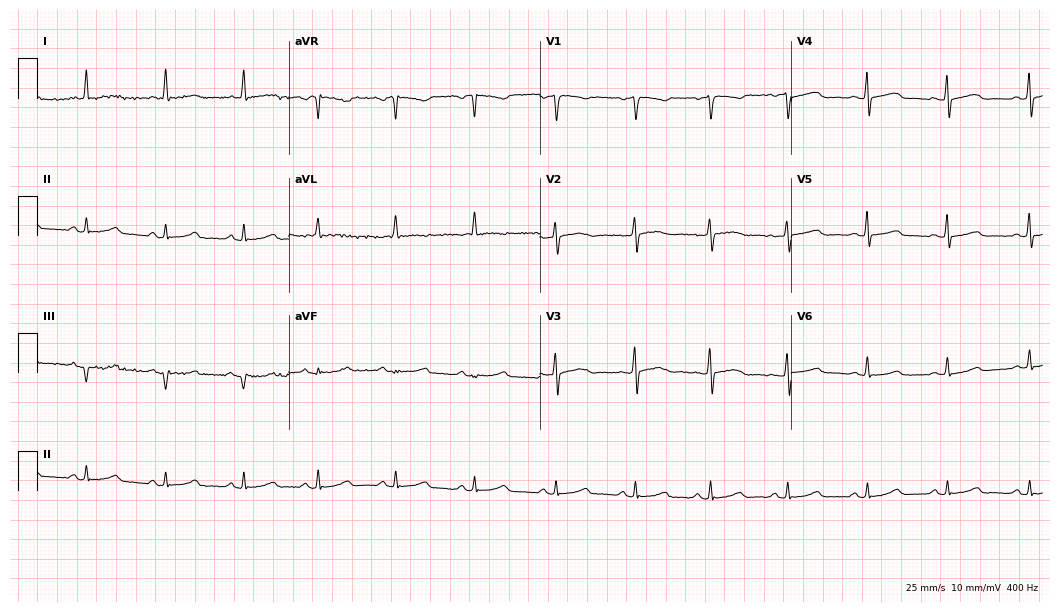
12-lead ECG from a 74-year-old female (10.2-second recording at 400 Hz). Recorded interpretation: within normal limits.